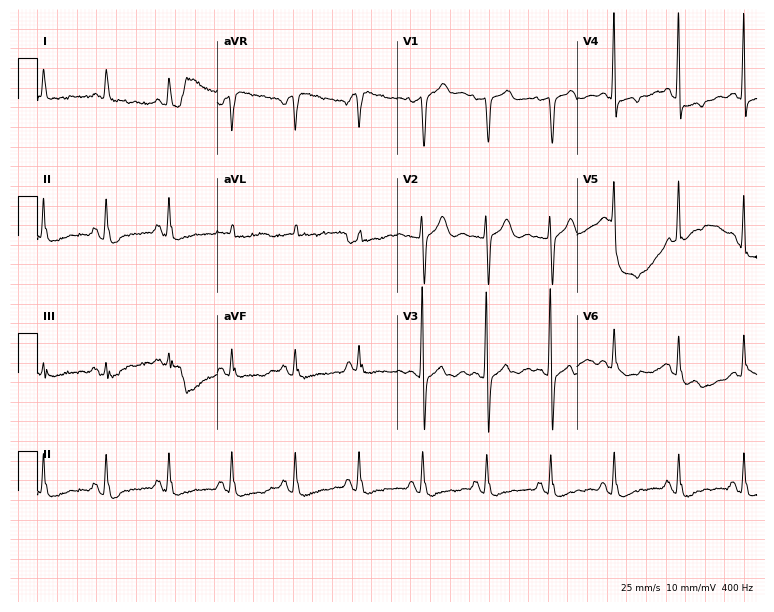
Resting 12-lead electrocardiogram (7.3-second recording at 400 Hz). Patient: an 84-year-old female. None of these six findings is recorded: first-degree AV block, right bundle branch block, left bundle branch block, sinus bradycardia, atrial fibrillation, sinus tachycardia. Findings outside these six are not listed.